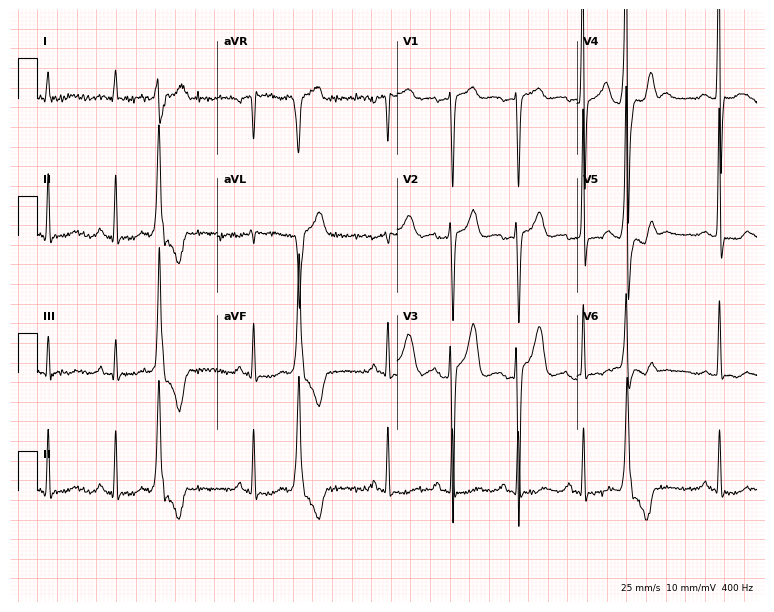
Electrocardiogram (7.3-second recording at 400 Hz), a male, 73 years old. Of the six screened findings (first-degree AV block, right bundle branch block (RBBB), left bundle branch block (LBBB), sinus bradycardia, atrial fibrillation (AF), sinus tachycardia), none is recorded. Findings outside these six are not listed.